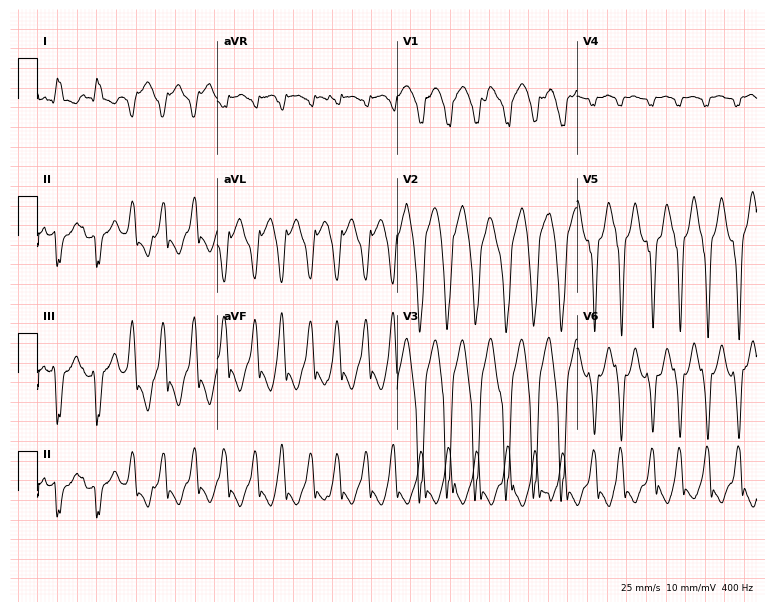
12-lead ECG from a male patient, 47 years old (7.3-second recording at 400 Hz). Shows right bundle branch block (RBBB), sinus tachycardia (a sinus rate of 100 beats per minute or more).